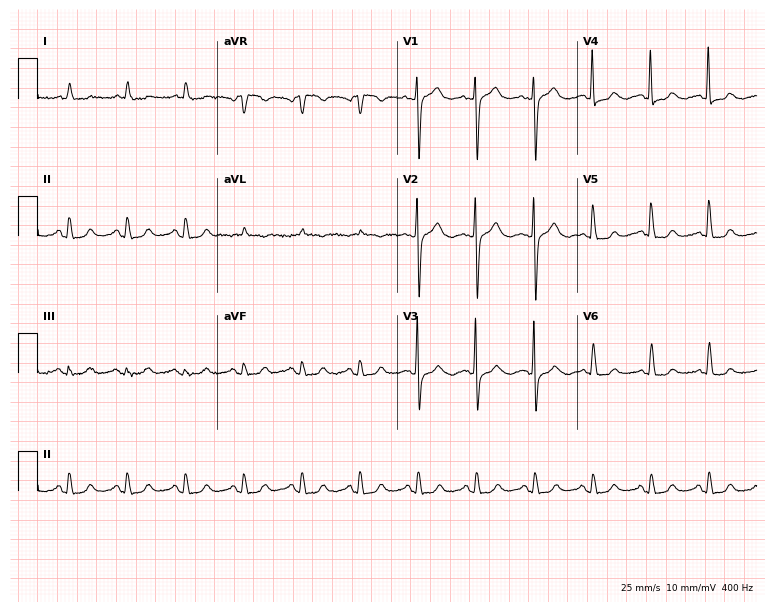
Resting 12-lead electrocardiogram (7.3-second recording at 400 Hz). Patient: a female, 73 years old. The tracing shows sinus tachycardia (a sinus rate of 100 beats per minute or more).